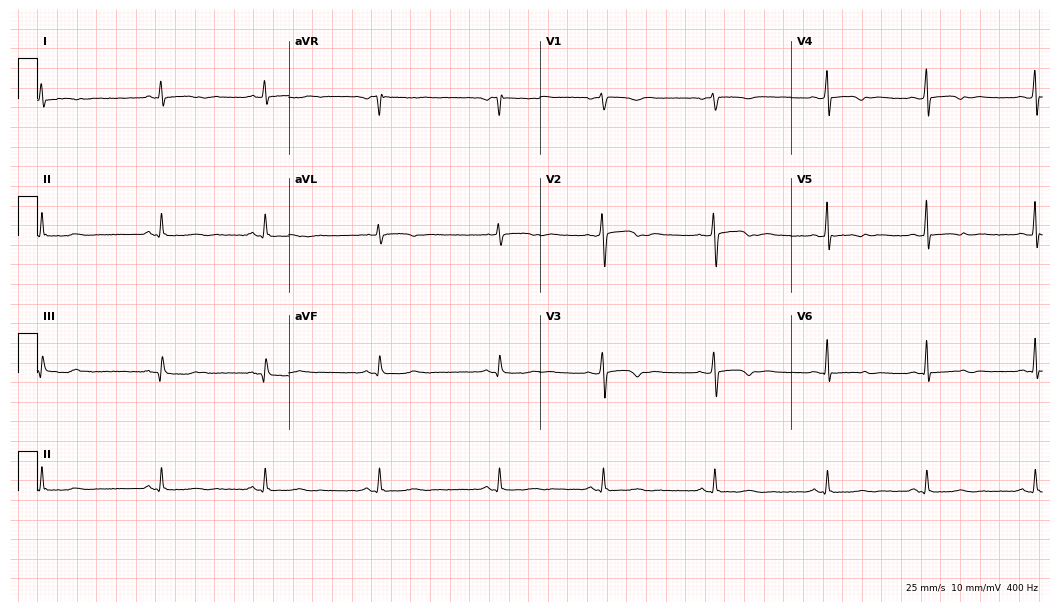
Electrocardiogram (10.2-second recording at 400 Hz), a 30-year-old female patient. Of the six screened findings (first-degree AV block, right bundle branch block, left bundle branch block, sinus bradycardia, atrial fibrillation, sinus tachycardia), none is recorded. Findings outside these six are not listed.